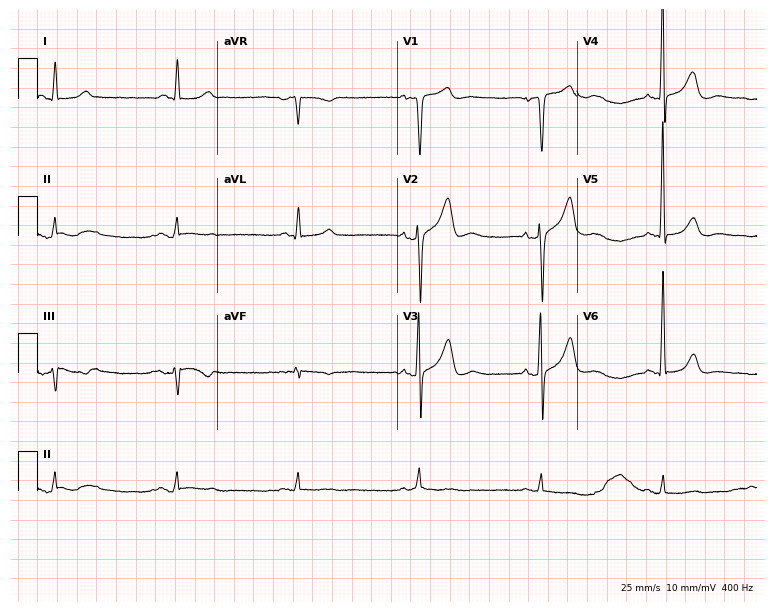
ECG — a 62-year-old male patient. Findings include sinus bradycardia (a sinus rate of 50 beats per minute or less).